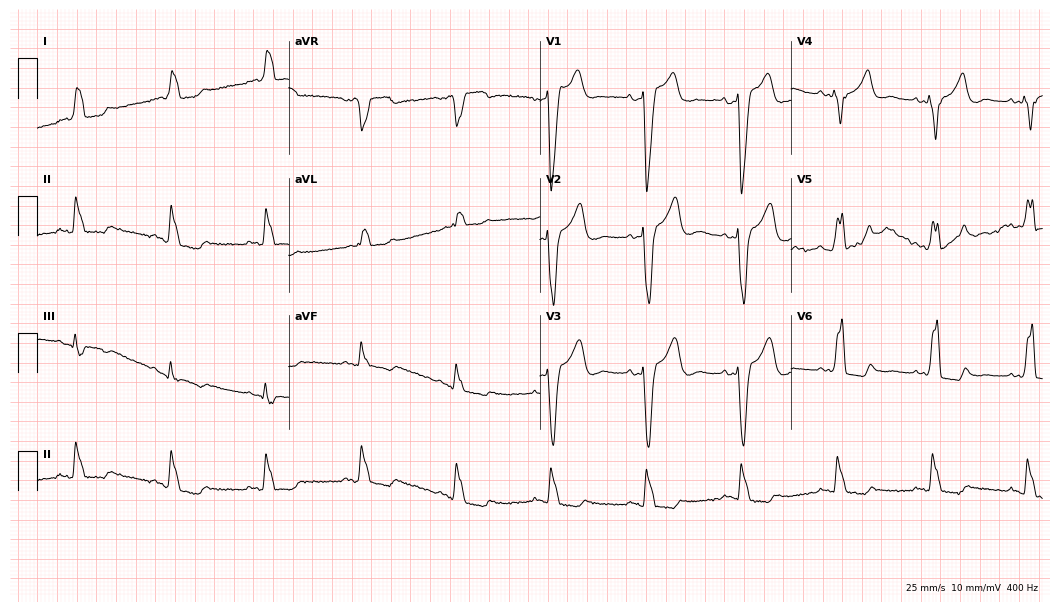
ECG — a 77-year-old man. Findings include left bundle branch block (LBBB).